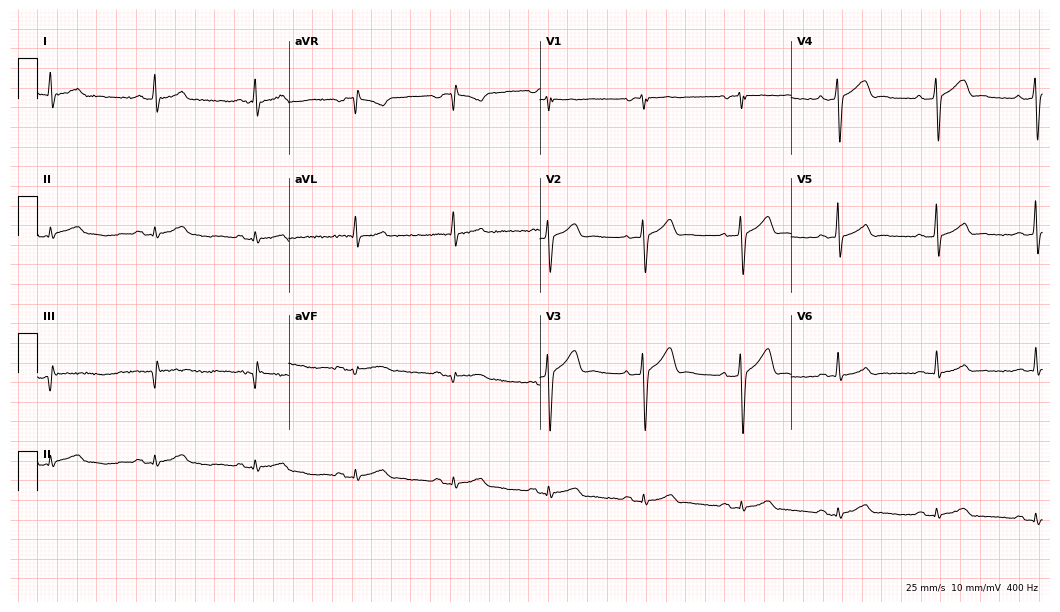
Electrocardiogram (10.2-second recording at 400 Hz), a male, 39 years old. Overall reading on record: normal ECG.